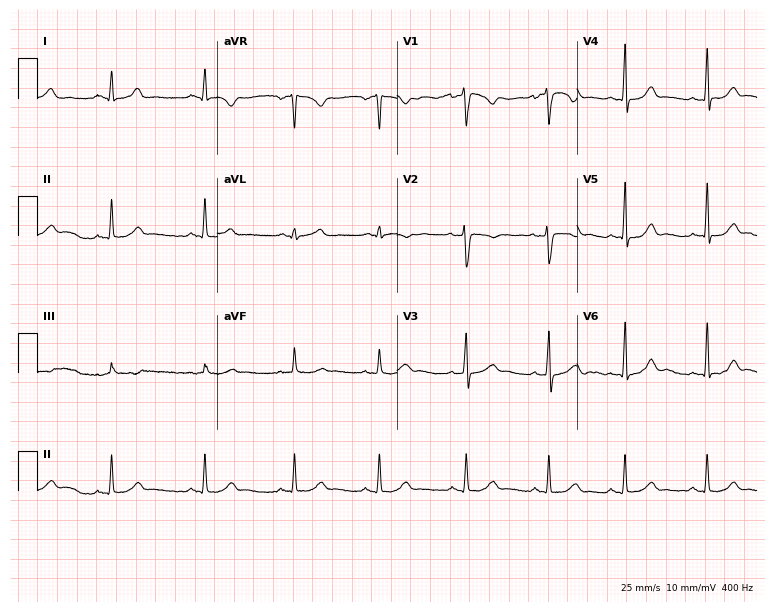
Electrocardiogram, a 26-year-old female. Overall reading on record: normal ECG.